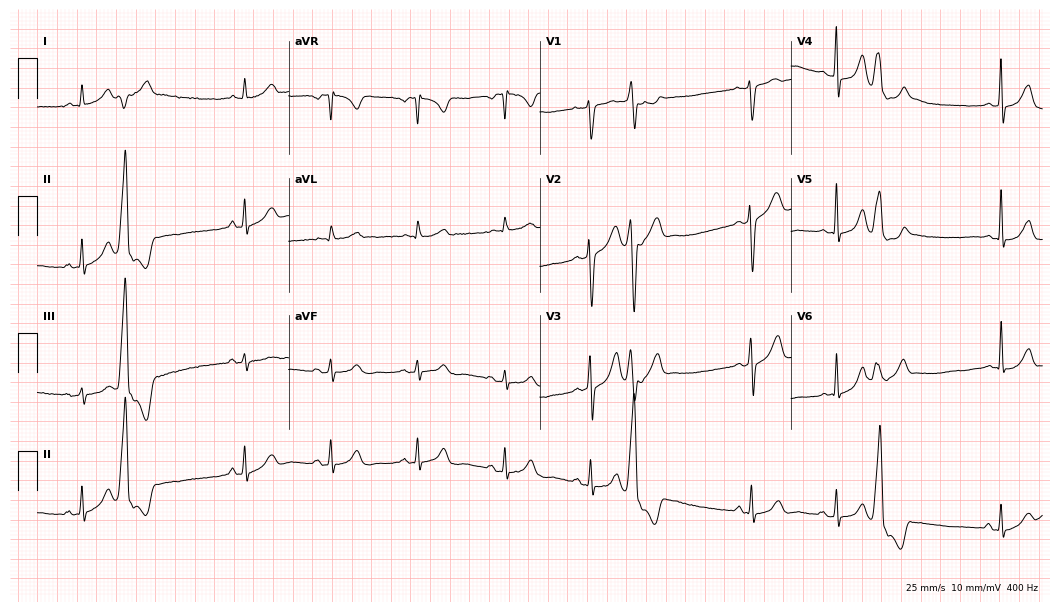
12-lead ECG from a female, 37 years old. No first-degree AV block, right bundle branch block, left bundle branch block, sinus bradycardia, atrial fibrillation or sinus tachycardia recorded for this tracing.